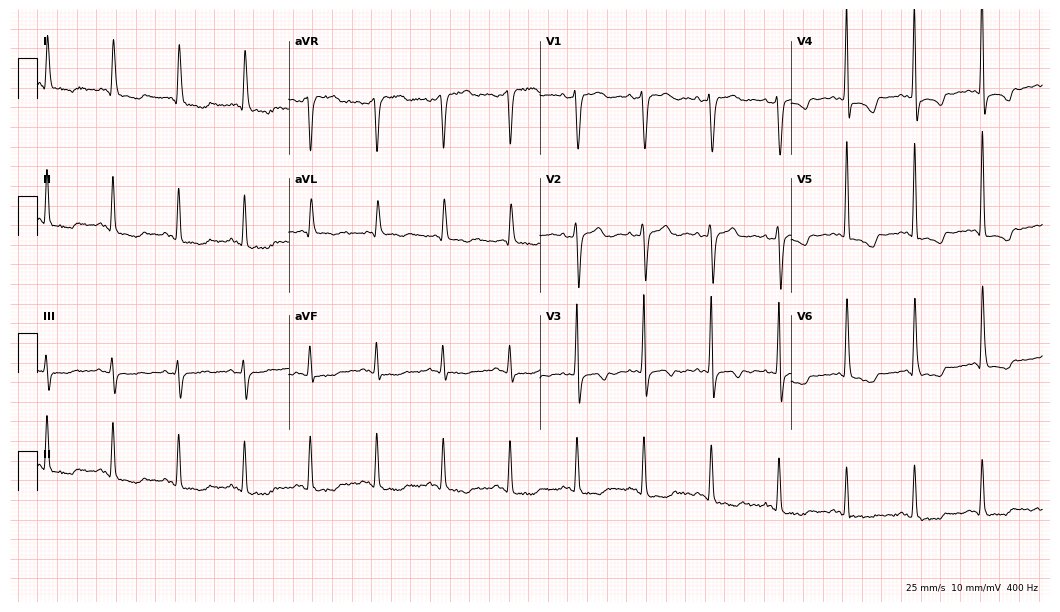
ECG — a female, 79 years old. Screened for six findings — first-degree AV block, right bundle branch block, left bundle branch block, sinus bradycardia, atrial fibrillation, sinus tachycardia — none is recorded.